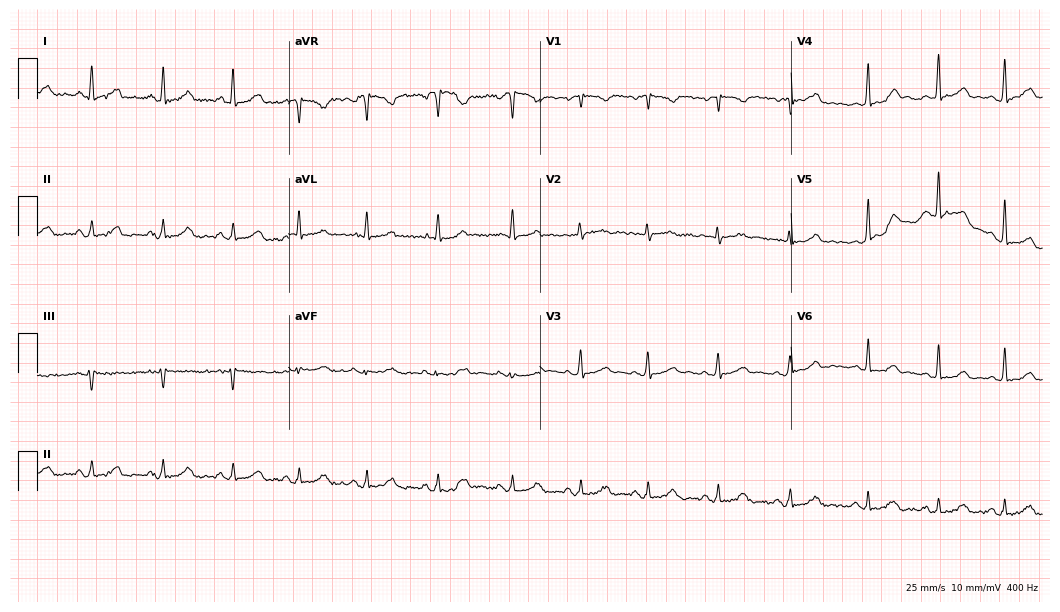
Electrocardiogram, a female patient, 43 years old. Overall reading on record: normal ECG.